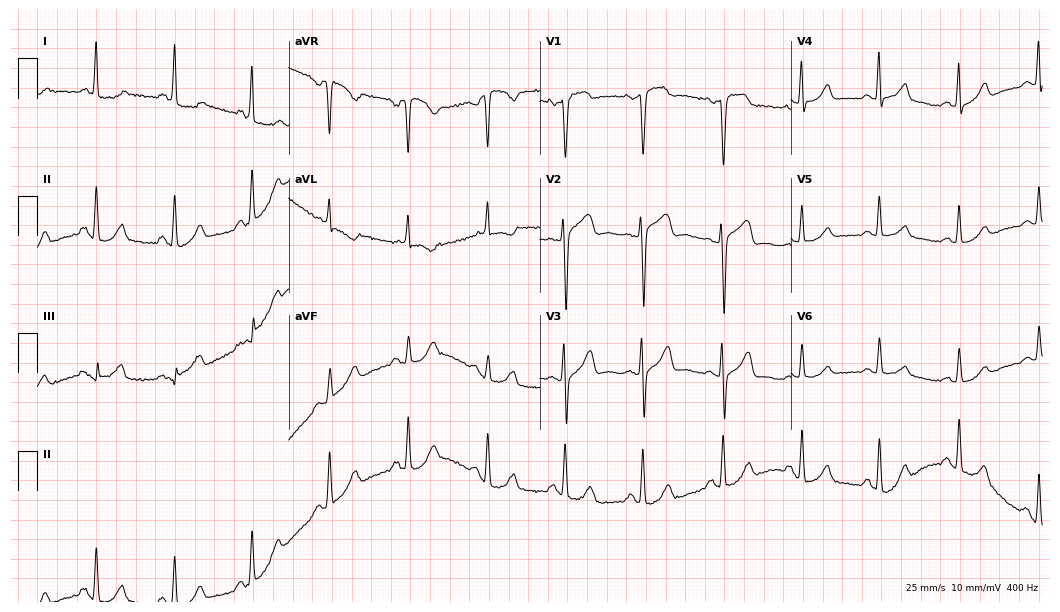
12-lead ECG from a woman, 46 years old (10.2-second recording at 400 Hz). No first-degree AV block, right bundle branch block (RBBB), left bundle branch block (LBBB), sinus bradycardia, atrial fibrillation (AF) or sinus tachycardia recorded for this tracing.